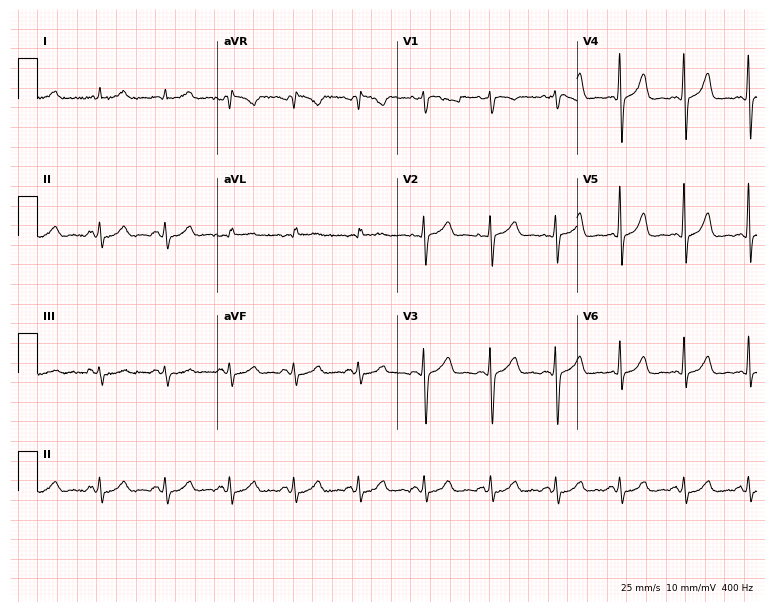
Resting 12-lead electrocardiogram (7.3-second recording at 400 Hz). Patient: a female, 40 years old. Read as a normal ECG.